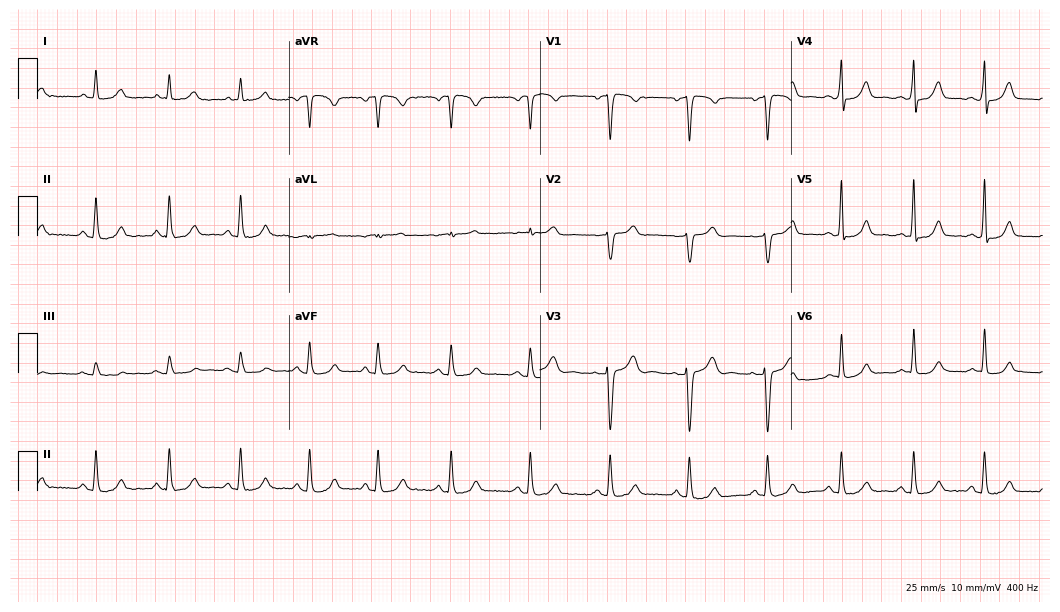
12-lead ECG from a 45-year-old woman (10.2-second recording at 400 Hz). Recorded interpretation: within normal limits.